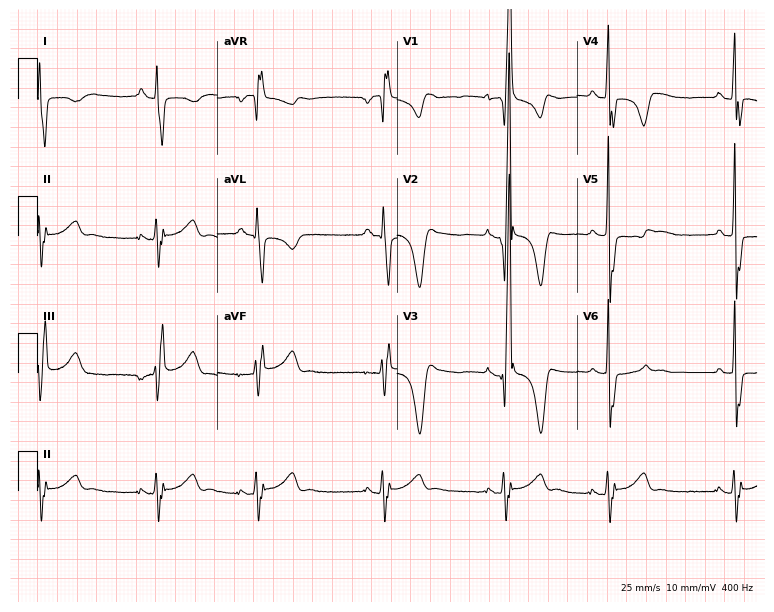
Resting 12-lead electrocardiogram (7.3-second recording at 400 Hz). Patient: a 23-year-old male. The tracing shows right bundle branch block (RBBB).